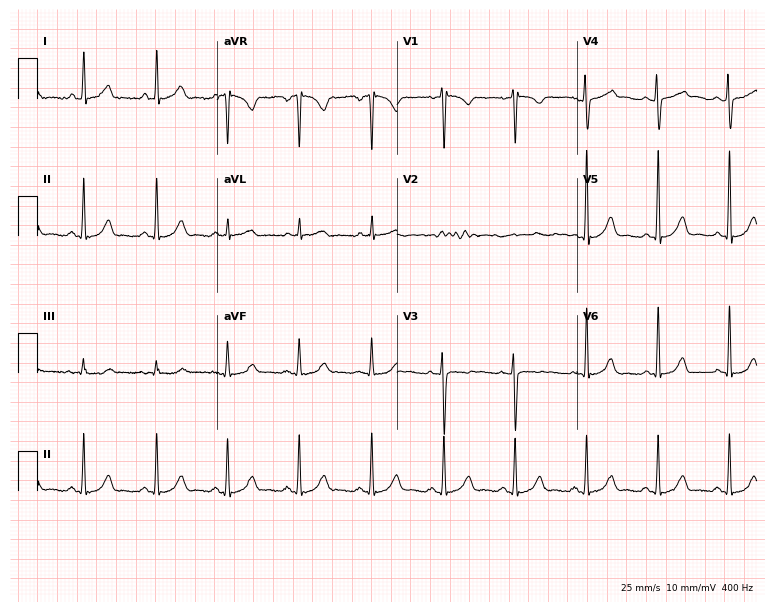
ECG — a 26-year-old female patient. Labelled as a normal ECG.